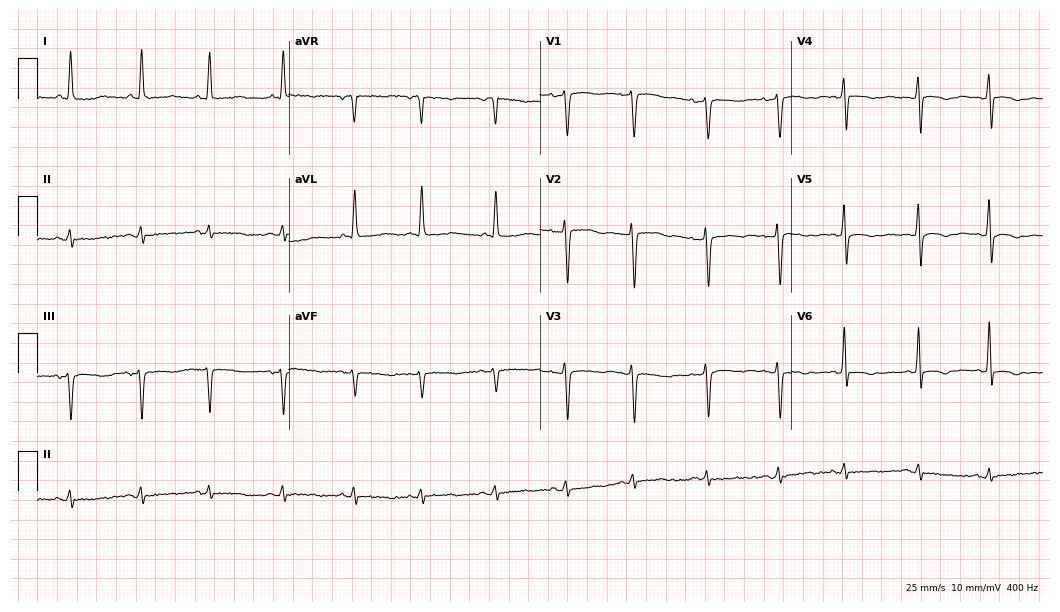
Standard 12-lead ECG recorded from a 73-year-old female patient. None of these six findings is recorded: first-degree AV block, right bundle branch block, left bundle branch block, sinus bradycardia, atrial fibrillation, sinus tachycardia. Only these six findings were labelled.